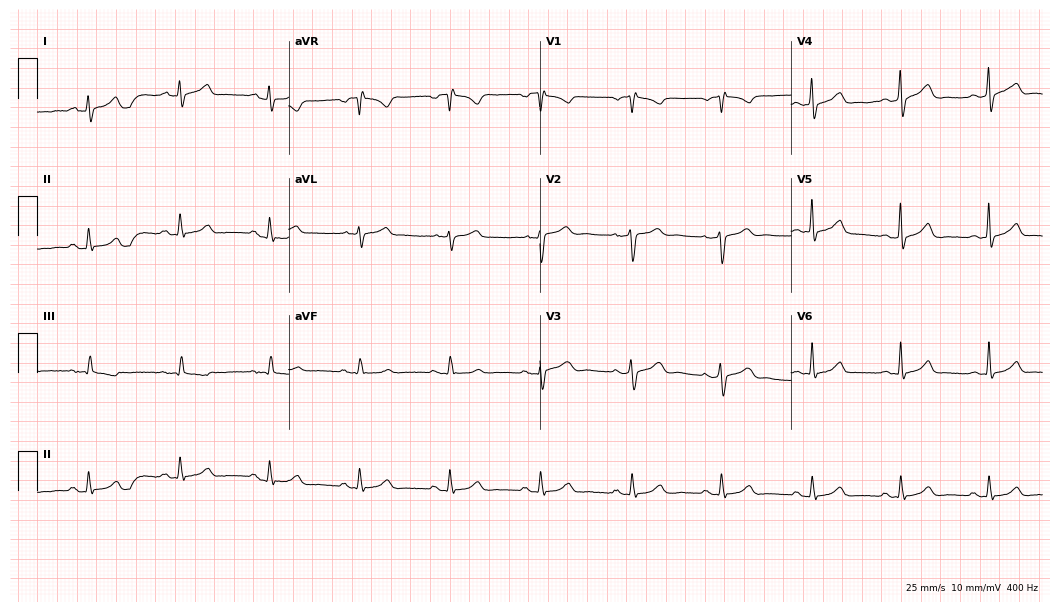
ECG (10.2-second recording at 400 Hz) — a 50-year-old male. Screened for six findings — first-degree AV block, right bundle branch block, left bundle branch block, sinus bradycardia, atrial fibrillation, sinus tachycardia — none is recorded.